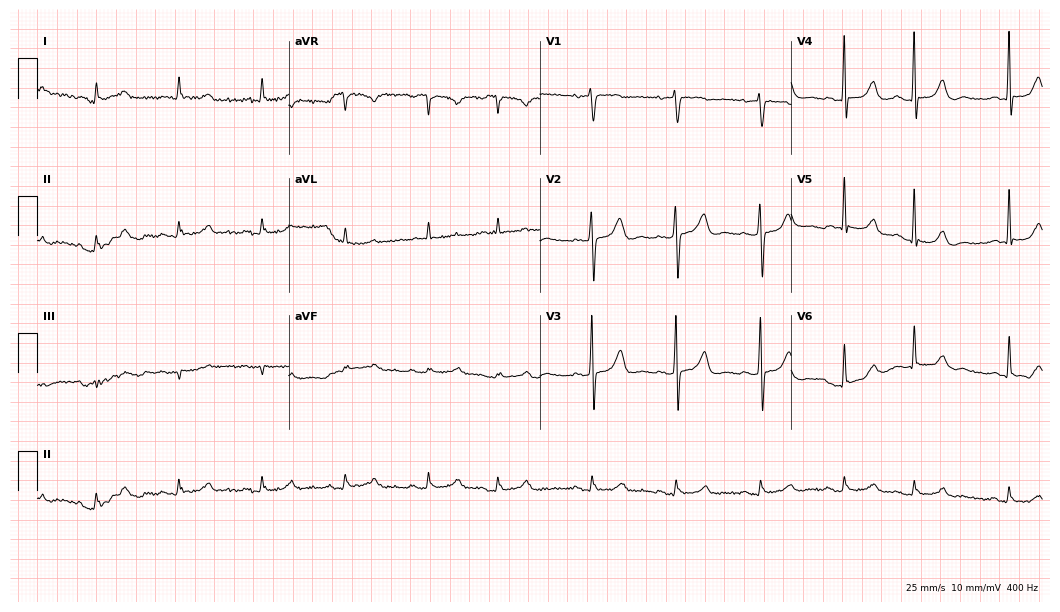
12-lead ECG from a woman, 73 years old (10.2-second recording at 400 Hz). No first-degree AV block, right bundle branch block, left bundle branch block, sinus bradycardia, atrial fibrillation or sinus tachycardia recorded for this tracing. Findings outside these six are not listed.